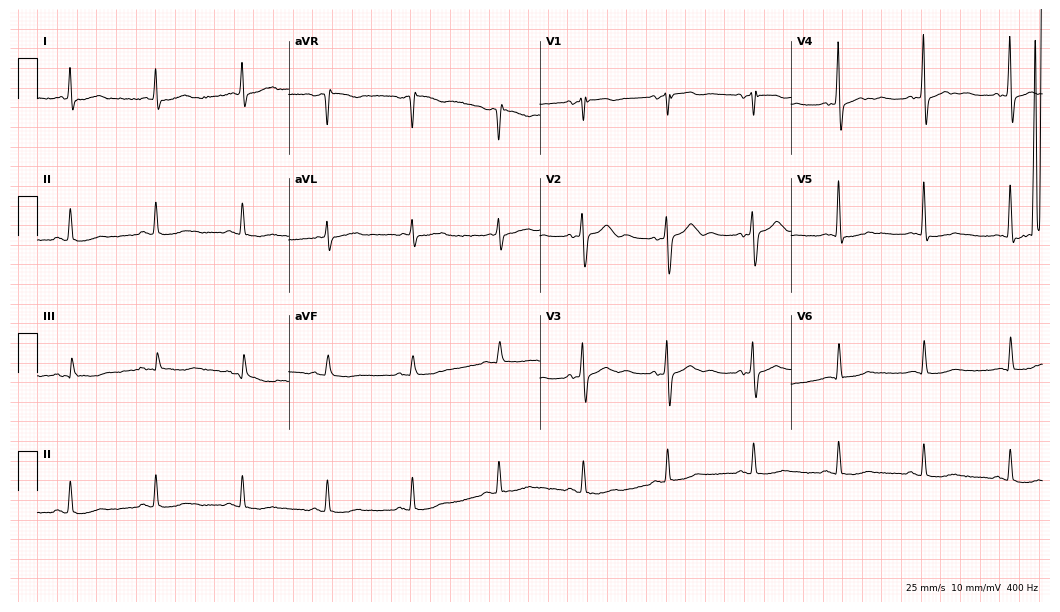
Electrocardiogram (10.2-second recording at 400 Hz), a 66-year-old male. Overall reading on record: normal ECG.